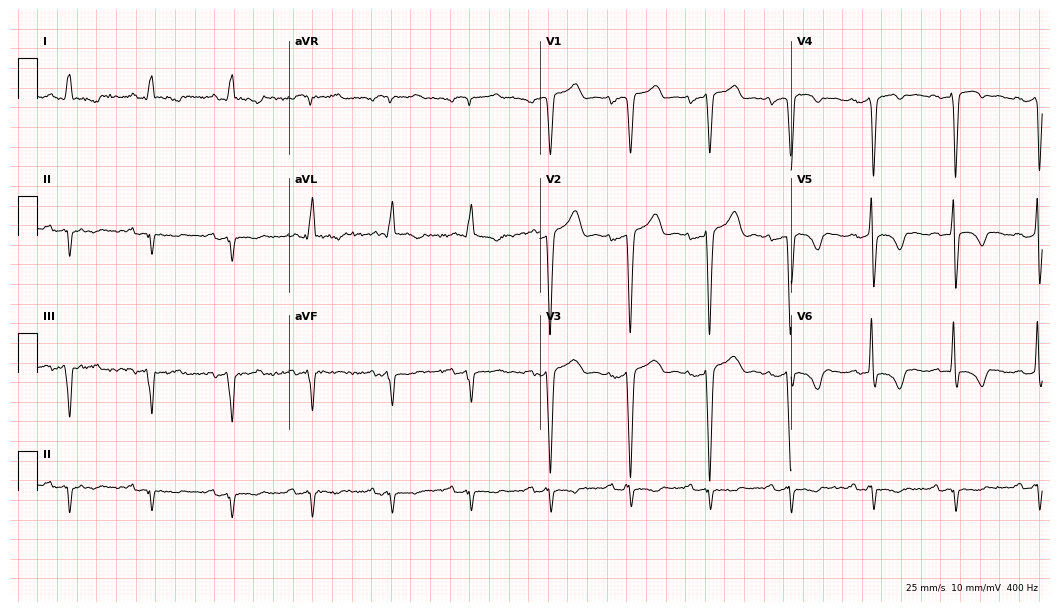
ECG — a 76-year-old man. Screened for six findings — first-degree AV block, right bundle branch block, left bundle branch block, sinus bradycardia, atrial fibrillation, sinus tachycardia — none is recorded.